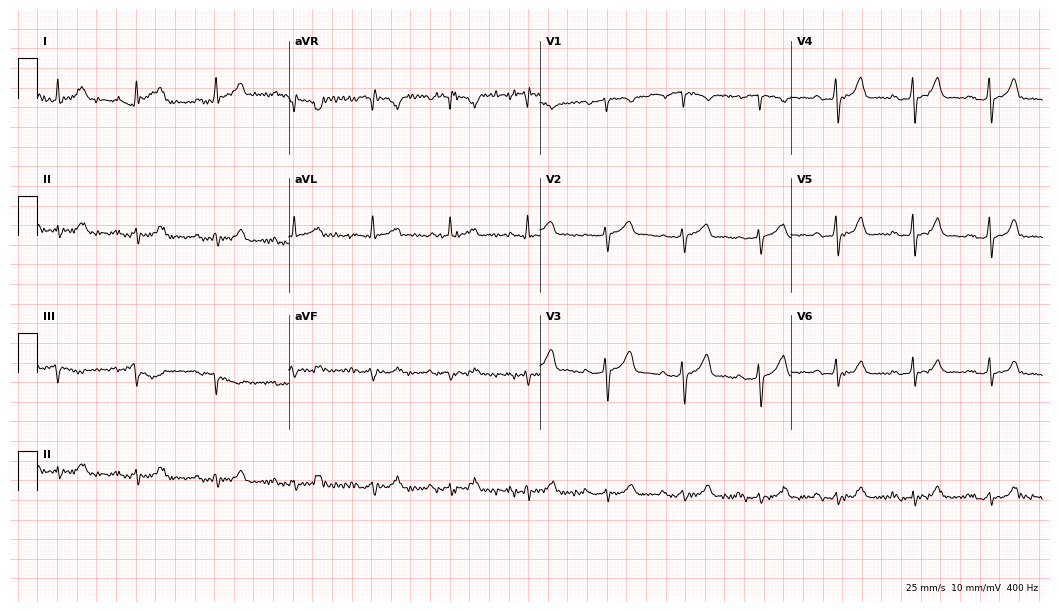
Standard 12-lead ECG recorded from a 72-year-old male patient (10.2-second recording at 400 Hz). Read as a normal ECG.